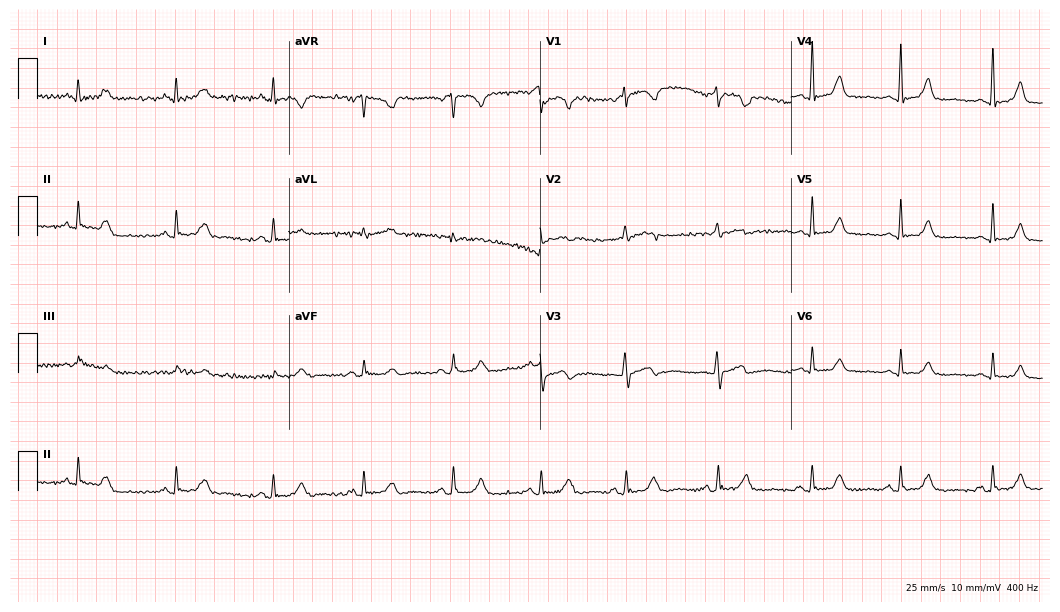
Electrocardiogram, a female, 46 years old. Of the six screened findings (first-degree AV block, right bundle branch block, left bundle branch block, sinus bradycardia, atrial fibrillation, sinus tachycardia), none is recorded. Findings outside these six are not listed.